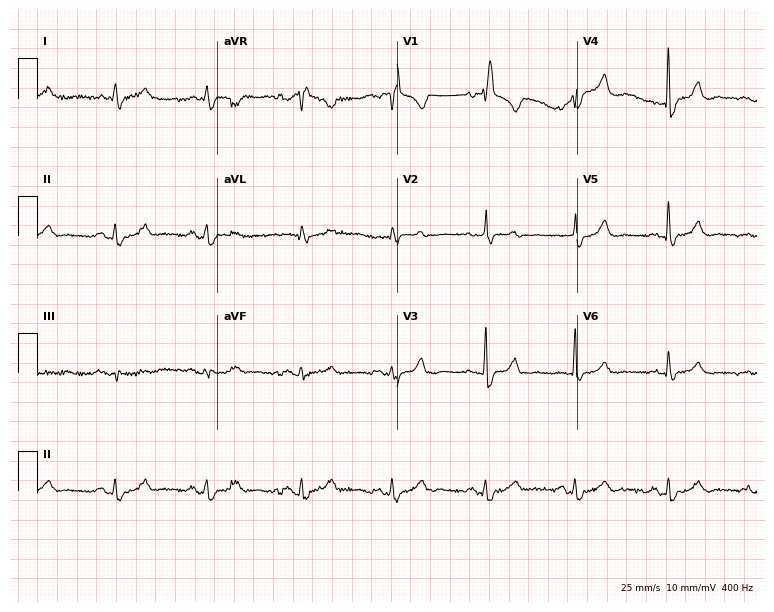
ECG (7.3-second recording at 400 Hz) — an 80-year-old woman. Findings include right bundle branch block.